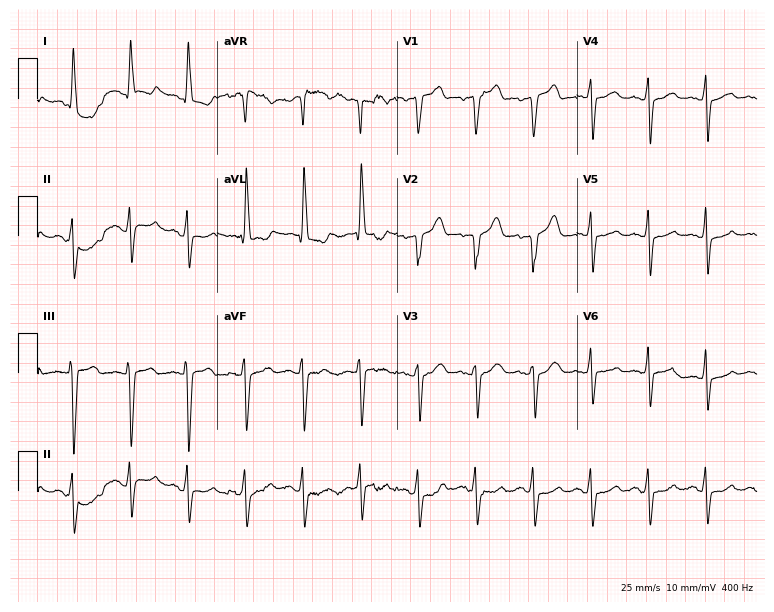
Resting 12-lead electrocardiogram. Patient: a woman, 79 years old. None of these six findings is recorded: first-degree AV block, right bundle branch block, left bundle branch block, sinus bradycardia, atrial fibrillation, sinus tachycardia.